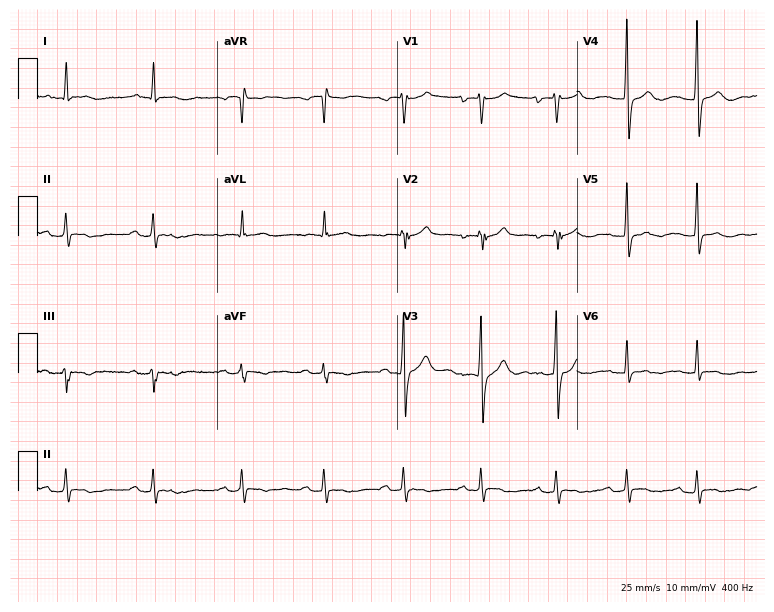
Standard 12-lead ECG recorded from a 37-year-old male patient. None of these six findings is recorded: first-degree AV block, right bundle branch block, left bundle branch block, sinus bradycardia, atrial fibrillation, sinus tachycardia. Other findings, if any, are not listed.